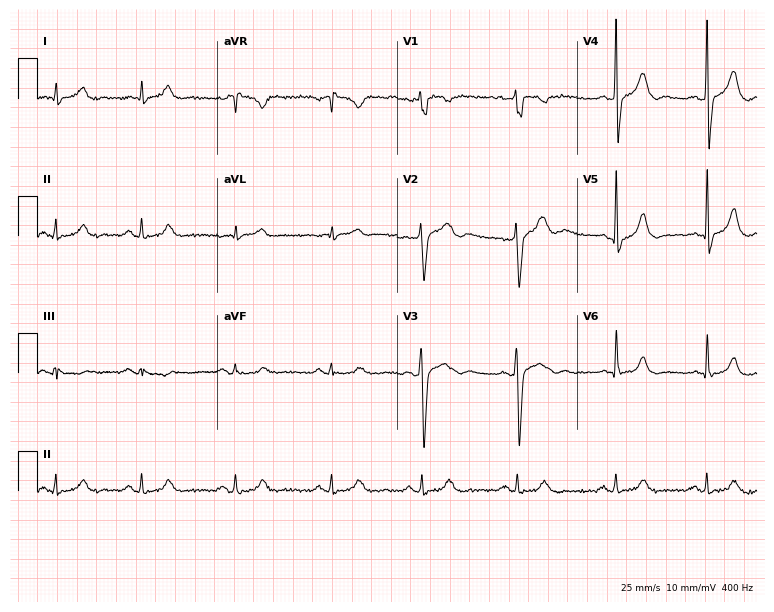
12-lead ECG (7.3-second recording at 400 Hz) from a 36-year-old man. Labelled as a normal ECG.